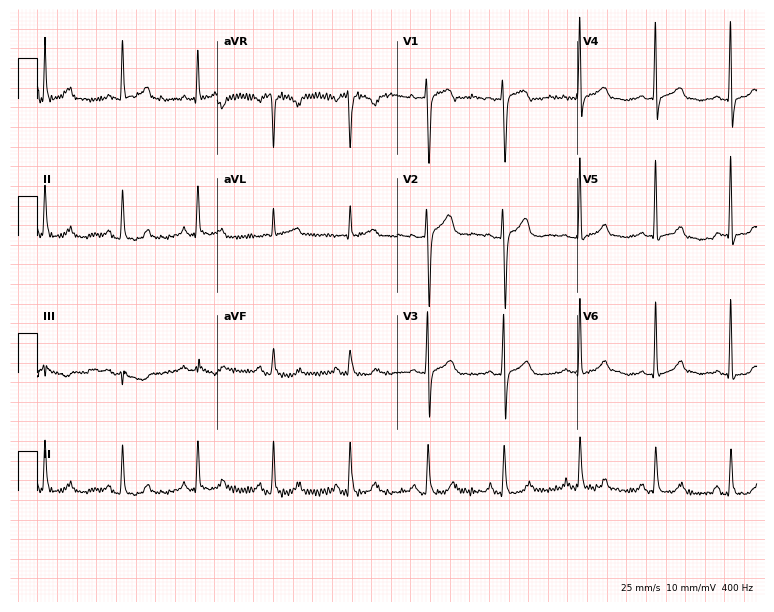
Resting 12-lead electrocardiogram. Patient: a 53-year-old female. Read as a normal ECG.